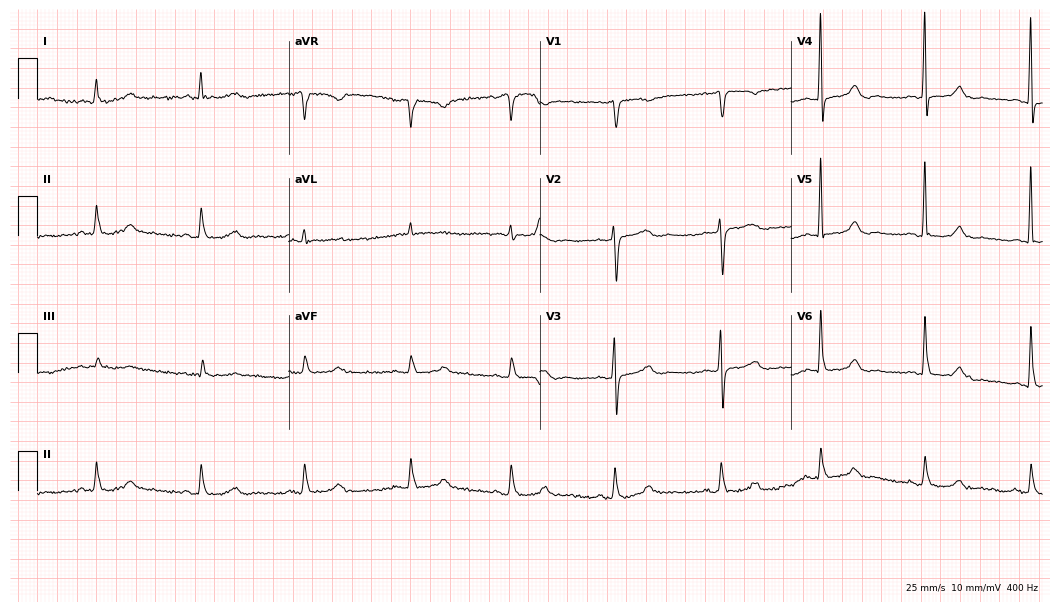
Electrocardiogram, a woman, 67 years old. Overall reading on record: normal ECG.